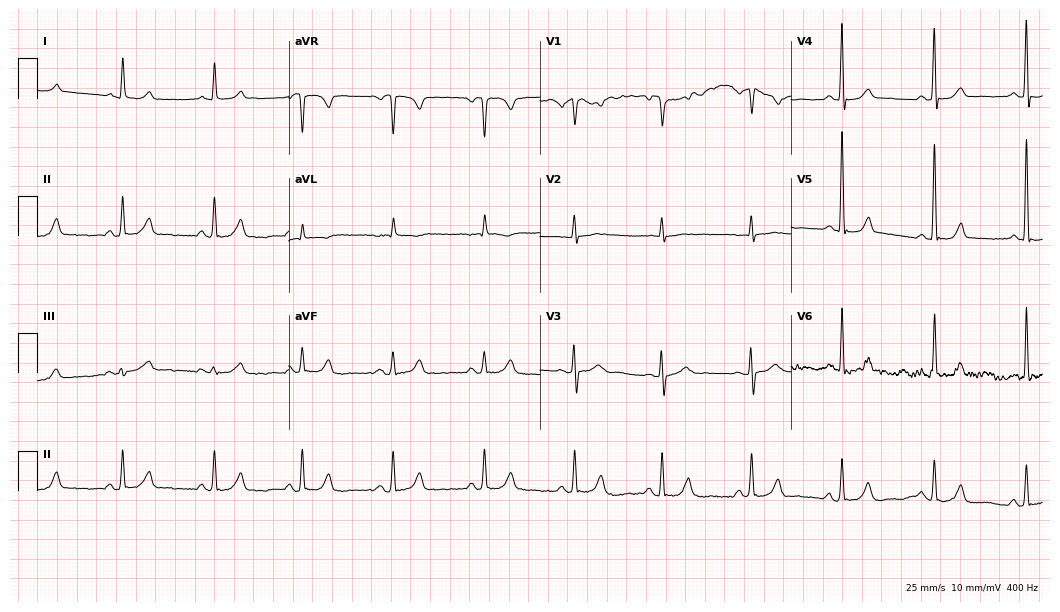
12-lead ECG from a 73-year-old woman. Recorded interpretation: within normal limits.